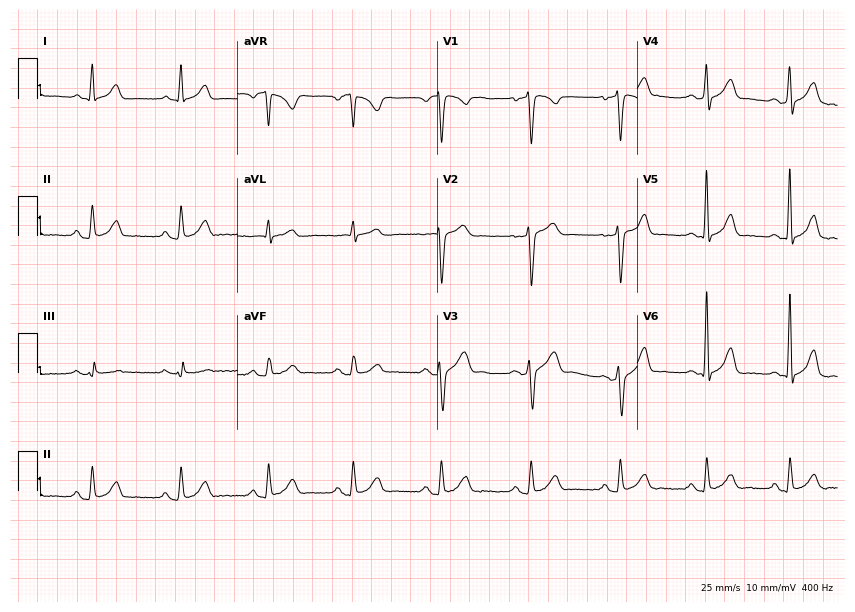
12-lead ECG from a female patient, 38 years old (8.2-second recording at 400 Hz). Recorded interpretation: within normal limits.